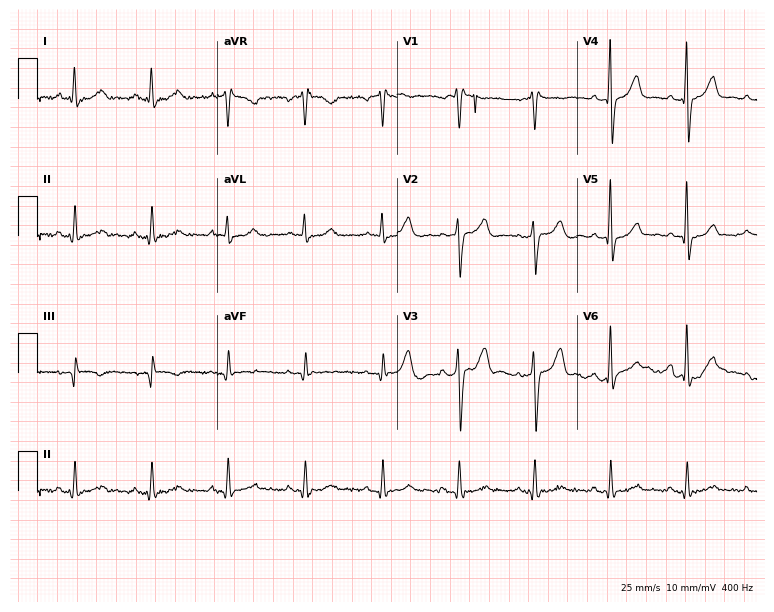
Standard 12-lead ECG recorded from a man, 67 years old (7.3-second recording at 400 Hz). Read as a normal ECG.